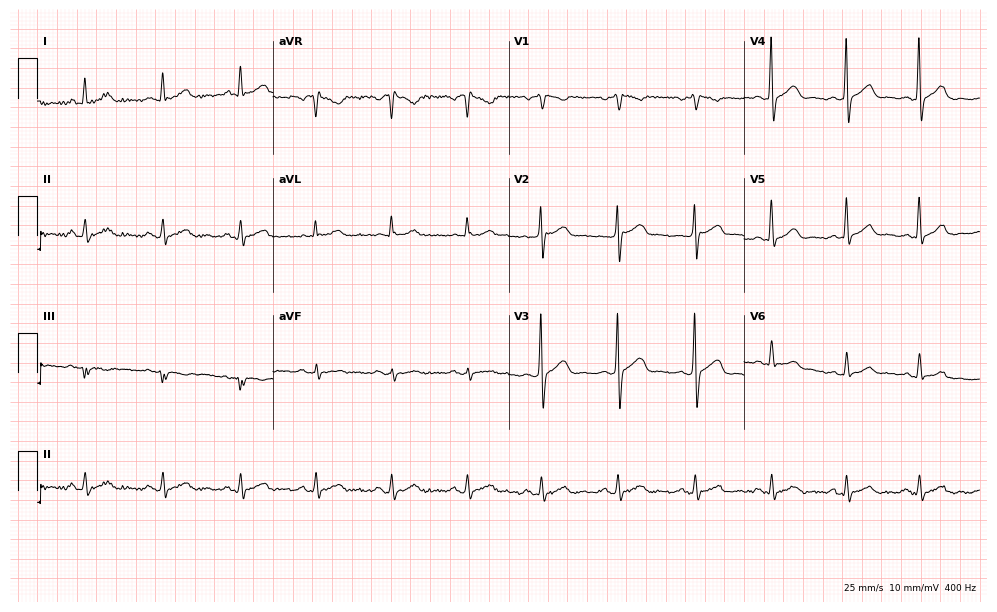
12-lead ECG from a 48-year-old man (9.6-second recording at 400 Hz). Recorded interpretation: within normal limits.